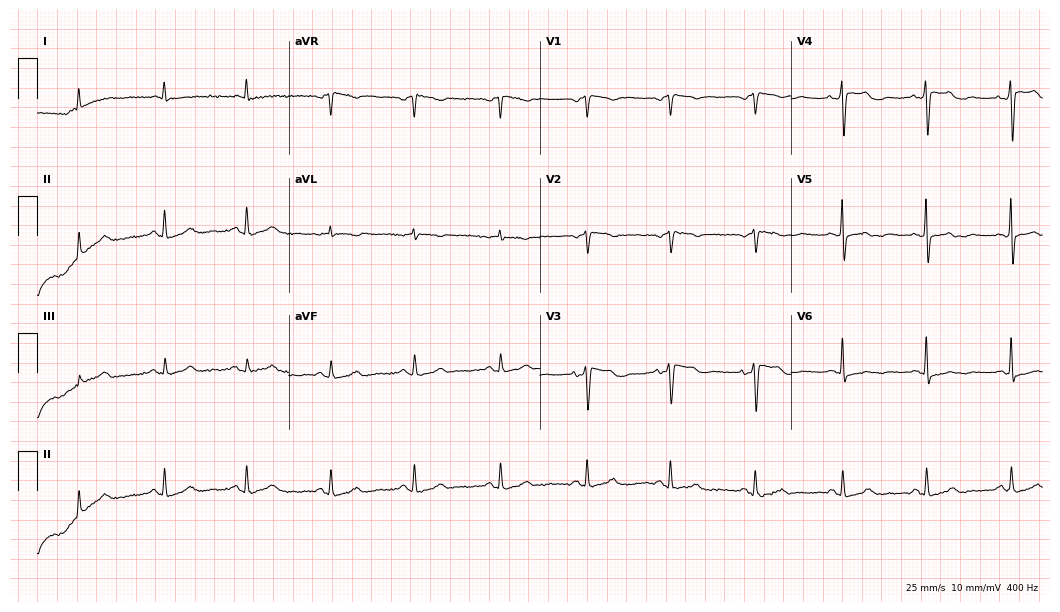
Resting 12-lead electrocardiogram. Patient: an 82-year-old woman. Read as a normal ECG.